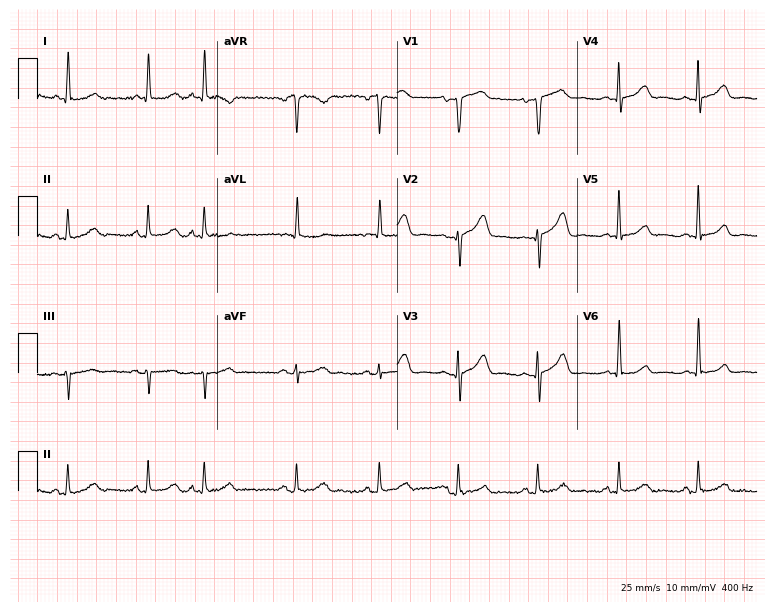
12-lead ECG (7.3-second recording at 400 Hz) from a man, 80 years old. Screened for six findings — first-degree AV block, right bundle branch block, left bundle branch block, sinus bradycardia, atrial fibrillation, sinus tachycardia — none is recorded.